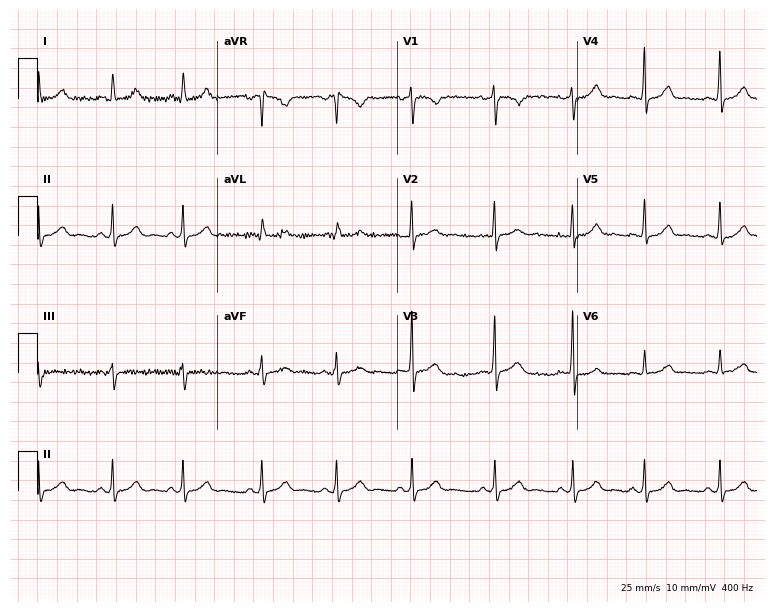
ECG (7.3-second recording at 400 Hz) — an 18-year-old female. Screened for six findings — first-degree AV block, right bundle branch block, left bundle branch block, sinus bradycardia, atrial fibrillation, sinus tachycardia — none is recorded. Only these six findings were labelled.